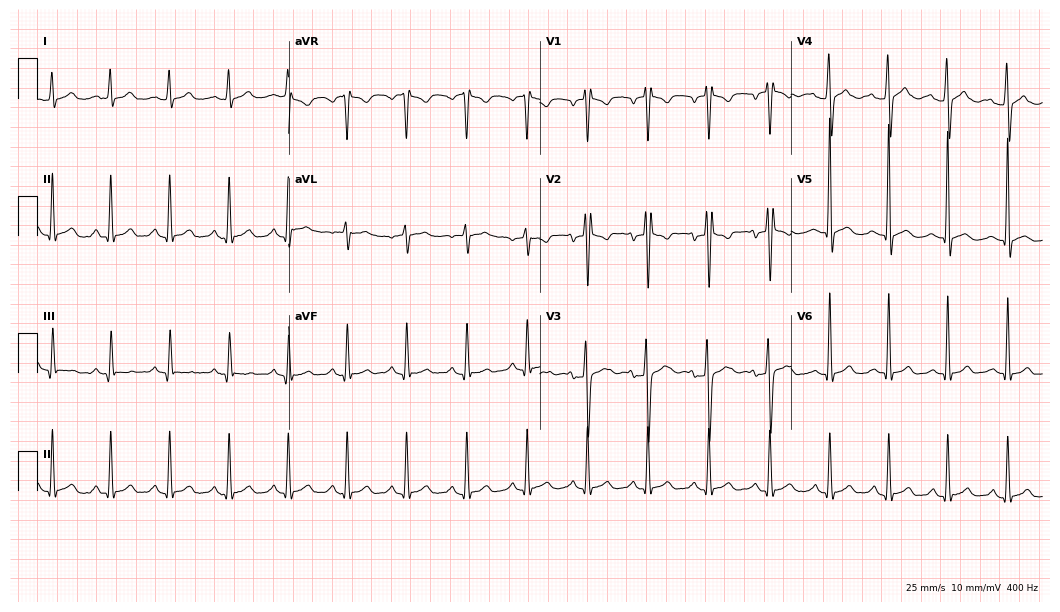
12-lead ECG (10.2-second recording at 400 Hz) from a 34-year-old male. Screened for six findings — first-degree AV block, right bundle branch block, left bundle branch block, sinus bradycardia, atrial fibrillation, sinus tachycardia — none is recorded. Findings outside these six are not listed.